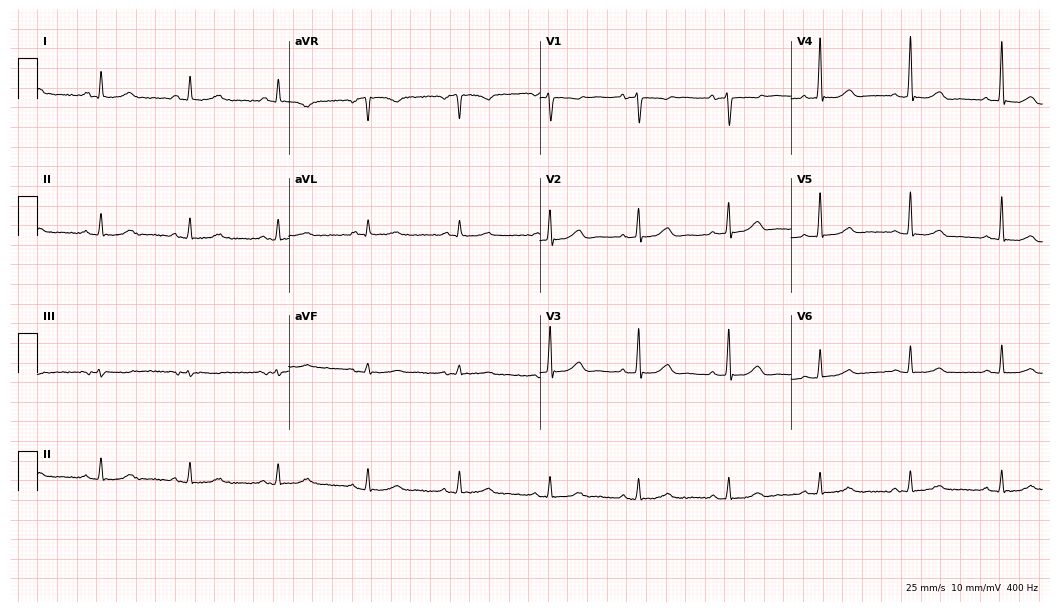
12-lead ECG from a female, 71 years old. Recorded interpretation: within normal limits.